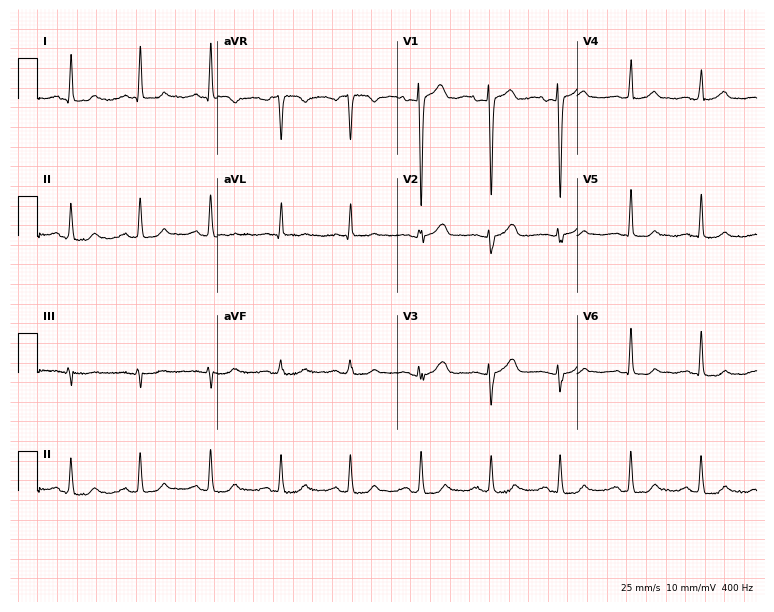
Electrocardiogram (7.3-second recording at 400 Hz), a 58-year-old female. Overall reading on record: normal ECG.